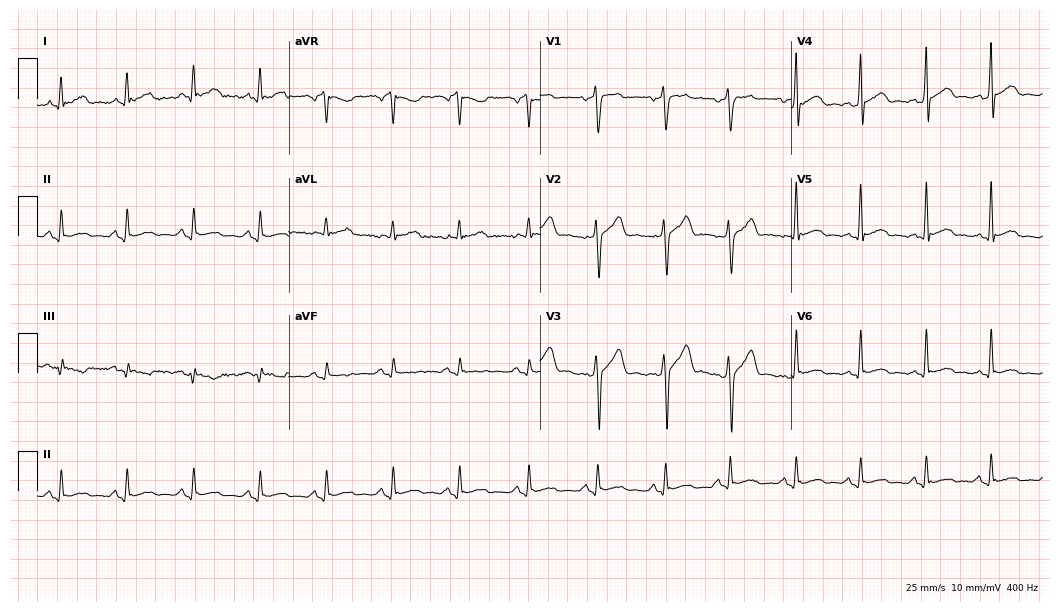
Standard 12-lead ECG recorded from a 33-year-old male patient. None of these six findings is recorded: first-degree AV block, right bundle branch block, left bundle branch block, sinus bradycardia, atrial fibrillation, sinus tachycardia. Only these six findings were labelled.